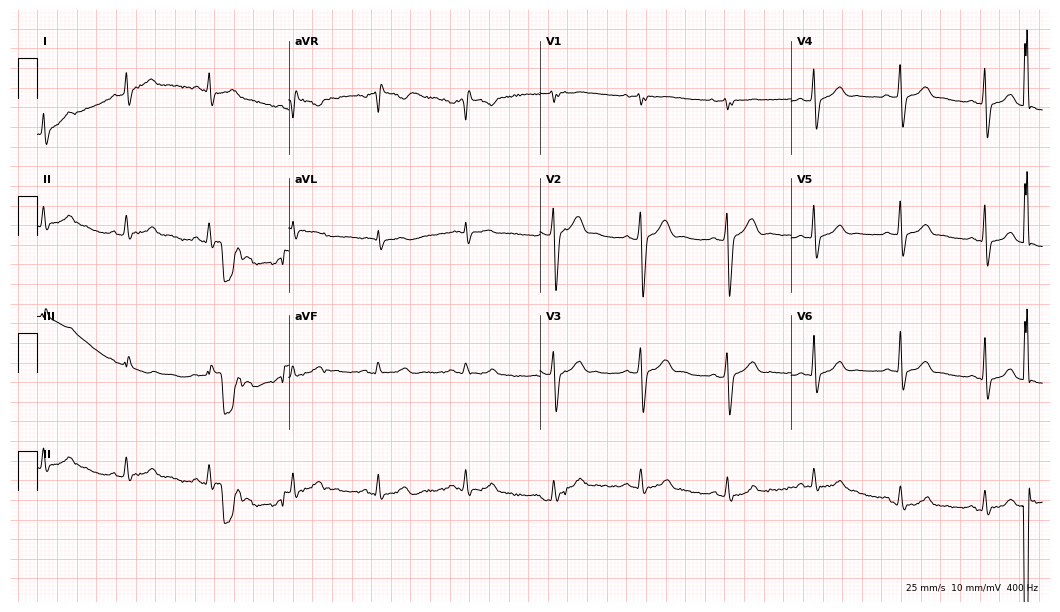
Resting 12-lead electrocardiogram. Patient: a male, 48 years old. Read as a normal ECG.